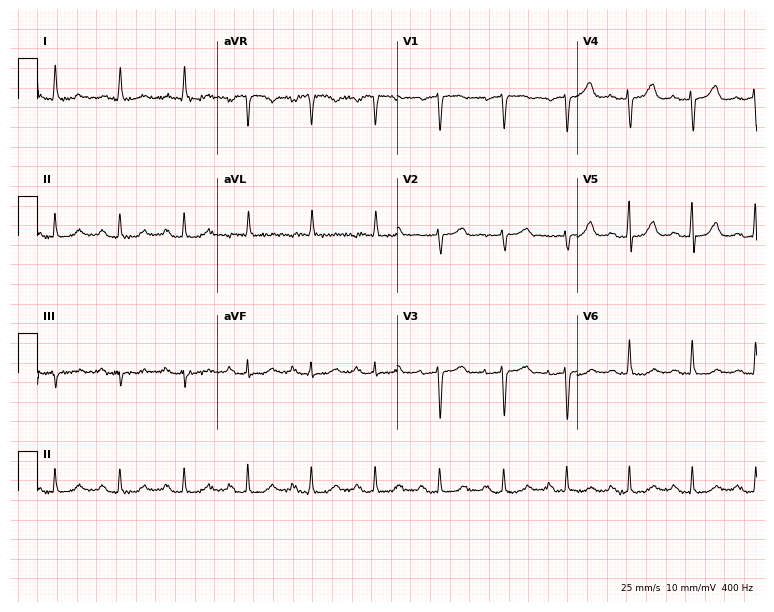
ECG (7.3-second recording at 400 Hz) — a 74-year-old female patient. Labelled as a normal ECG.